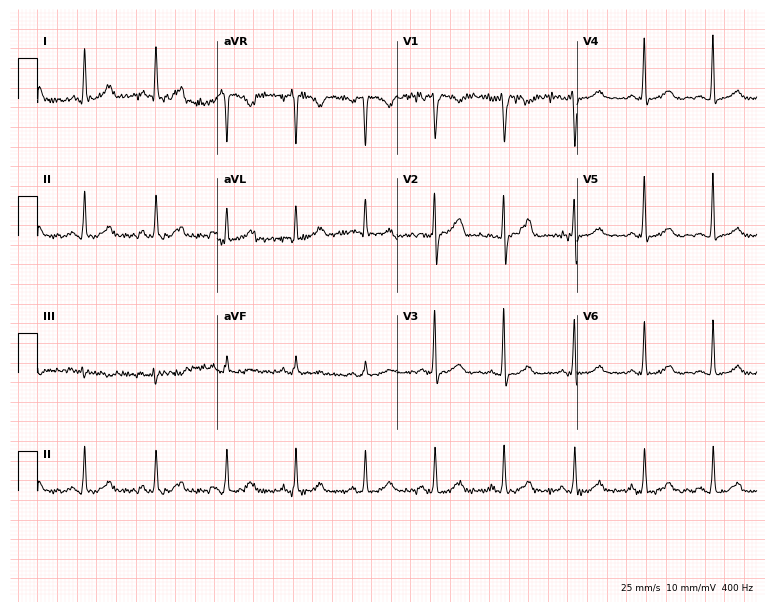
Standard 12-lead ECG recorded from a 28-year-old female patient. Read as a normal ECG.